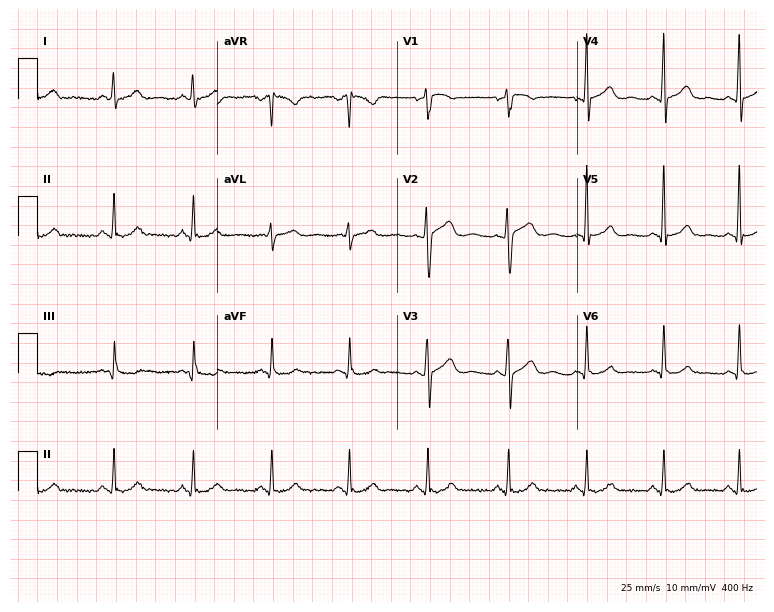
Standard 12-lead ECG recorded from a female, 42 years old. Read as a normal ECG.